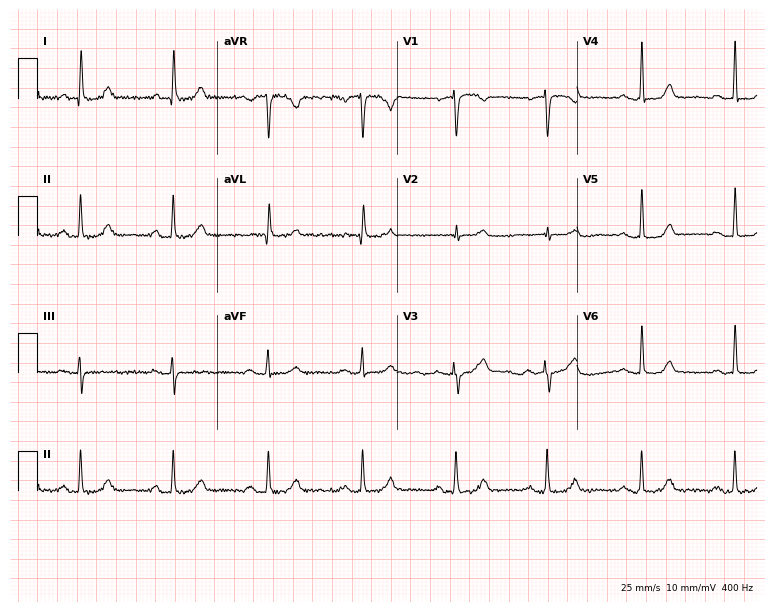
12-lead ECG from a female, 69 years old. Recorded interpretation: within normal limits.